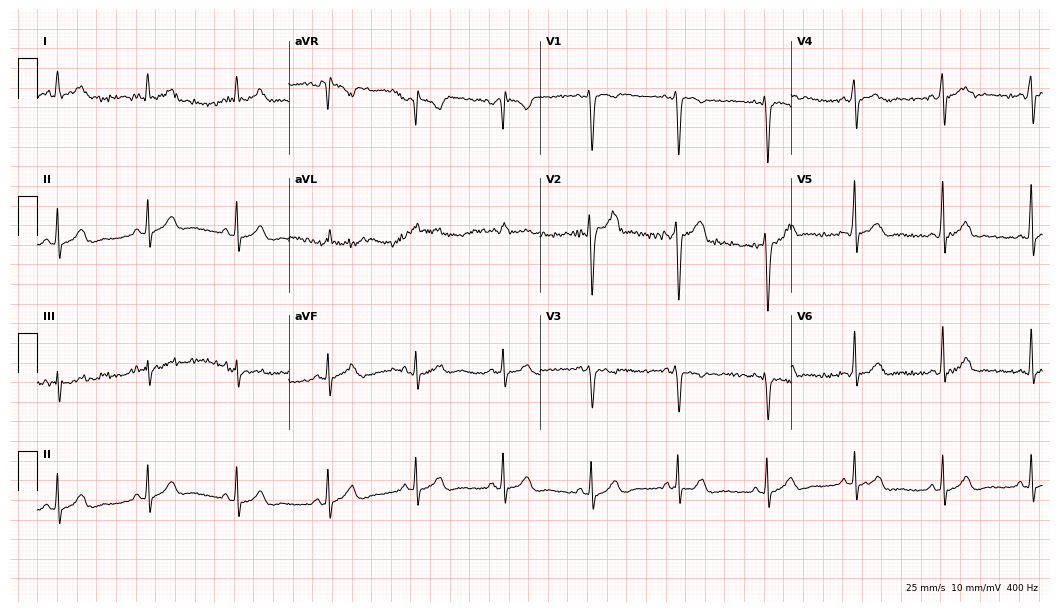
12-lead ECG from a male patient, 21 years old (10.2-second recording at 400 Hz). Recorded interpretation: within normal limits.